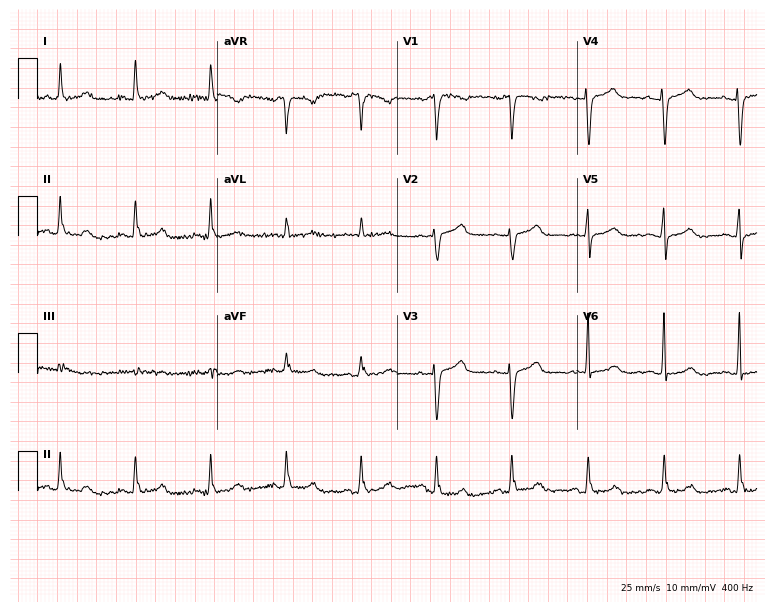
Resting 12-lead electrocardiogram (7.3-second recording at 400 Hz). Patient: a female, 77 years old. Read as a normal ECG.